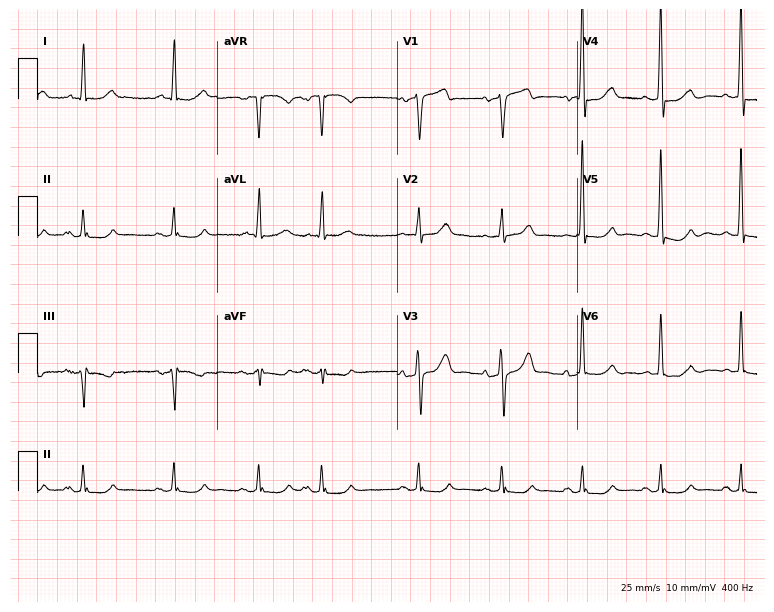
Resting 12-lead electrocardiogram (7.3-second recording at 400 Hz). Patient: a man, 75 years old. None of these six findings is recorded: first-degree AV block, right bundle branch block, left bundle branch block, sinus bradycardia, atrial fibrillation, sinus tachycardia.